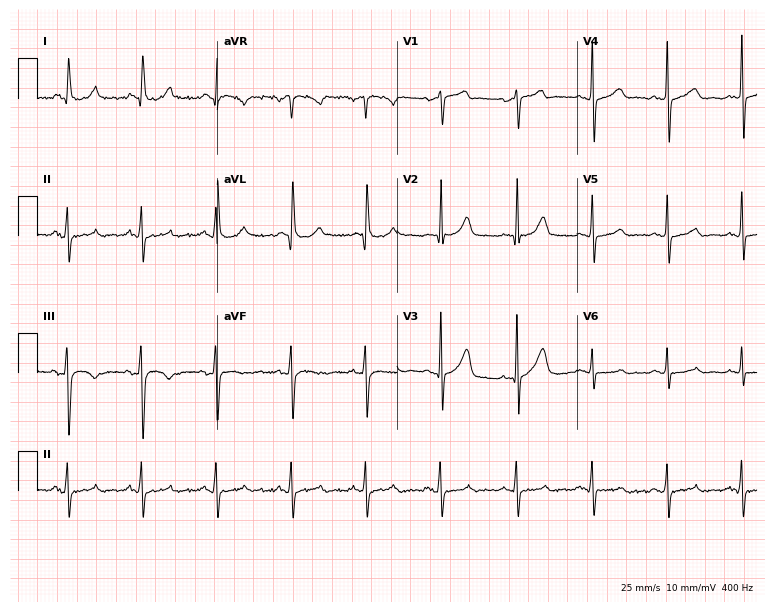
12-lead ECG from a 61-year-old woman. Labelled as a normal ECG.